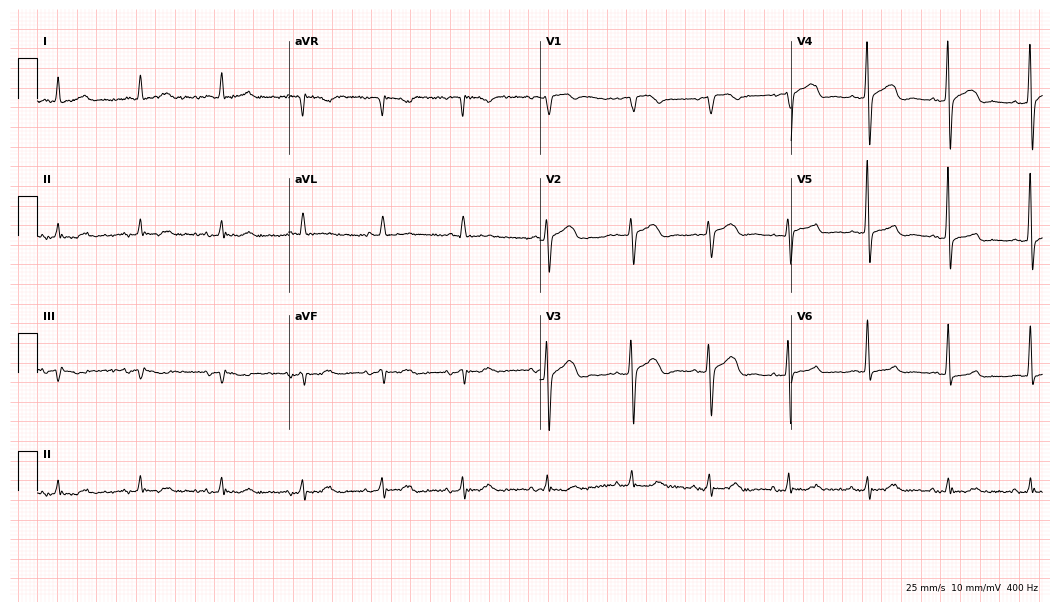
Standard 12-lead ECG recorded from a male, 81 years old. None of these six findings is recorded: first-degree AV block, right bundle branch block, left bundle branch block, sinus bradycardia, atrial fibrillation, sinus tachycardia.